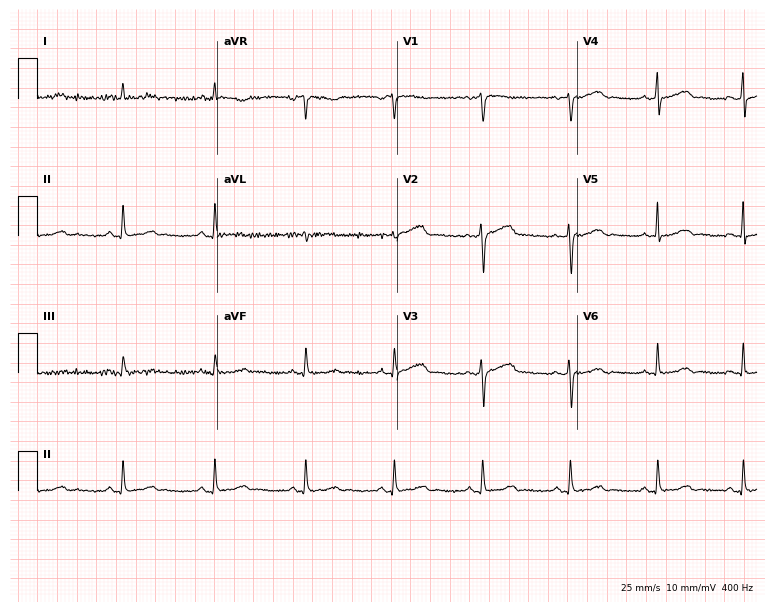
Standard 12-lead ECG recorded from a woman, 49 years old (7.3-second recording at 400 Hz). None of these six findings is recorded: first-degree AV block, right bundle branch block, left bundle branch block, sinus bradycardia, atrial fibrillation, sinus tachycardia. Findings outside these six are not listed.